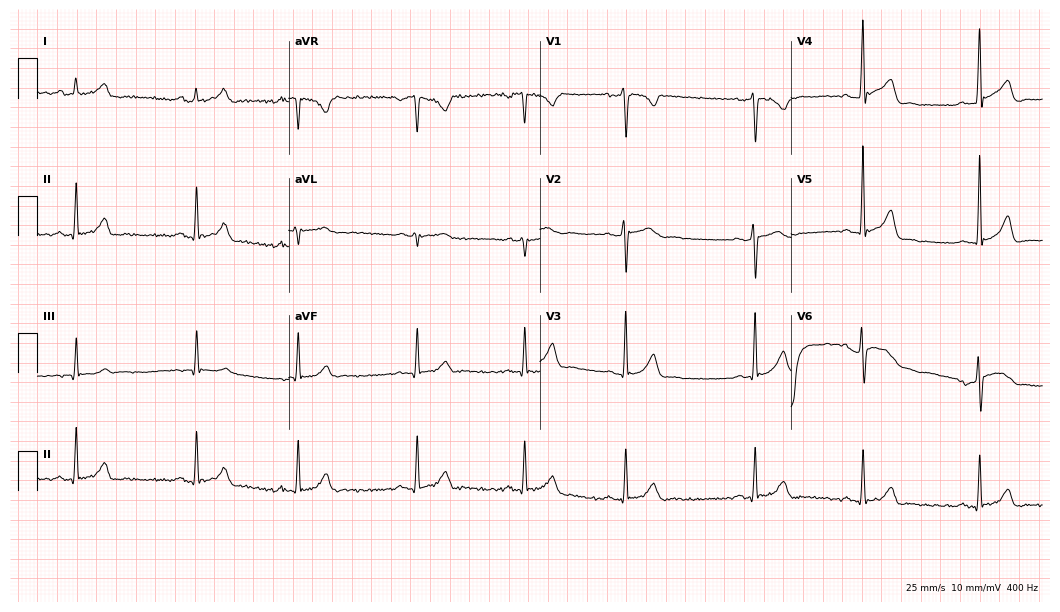
Electrocardiogram, a male, 26 years old. Overall reading on record: normal ECG.